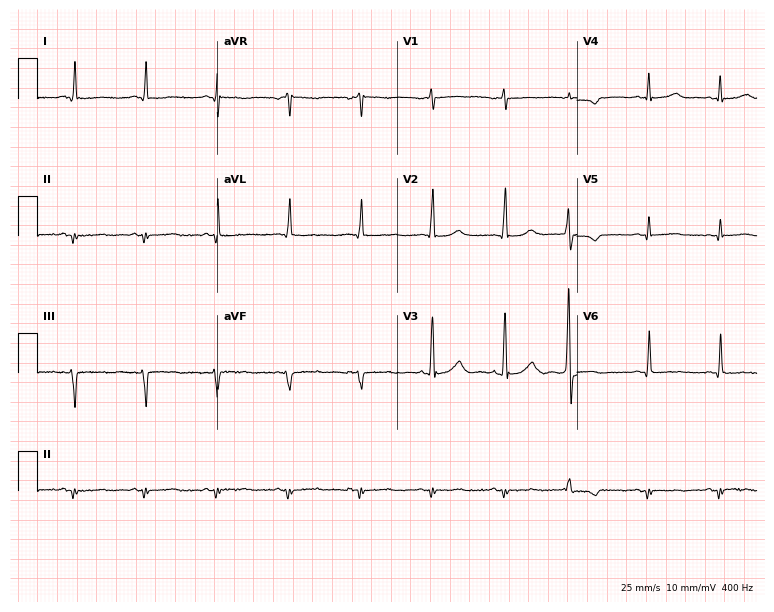
Resting 12-lead electrocardiogram. Patient: a 79-year-old male. None of these six findings is recorded: first-degree AV block, right bundle branch block, left bundle branch block, sinus bradycardia, atrial fibrillation, sinus tachycardia. Findings outside these six are not listed.